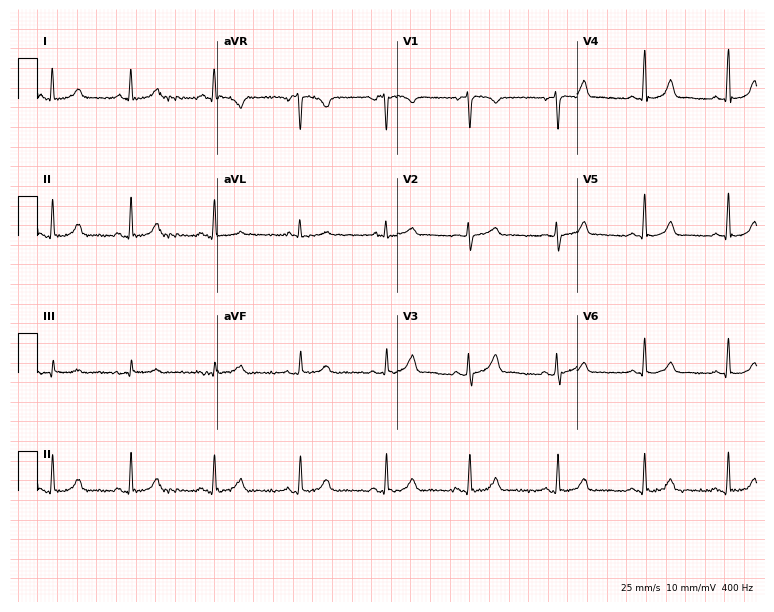
Standard 12-lead ECG recorded from a 37-year-old female. Read as a normal ECG.